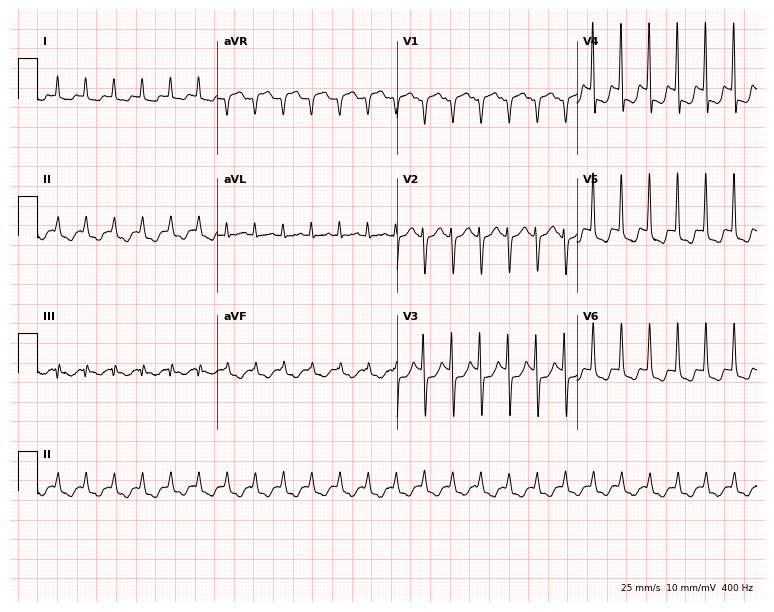
Electrocardiogram (7.3-second recording at 400 Hz), a male, 71 years old. Interpretation includes sinus tachycardia (a sinus rate of 100 beats per minute or more).